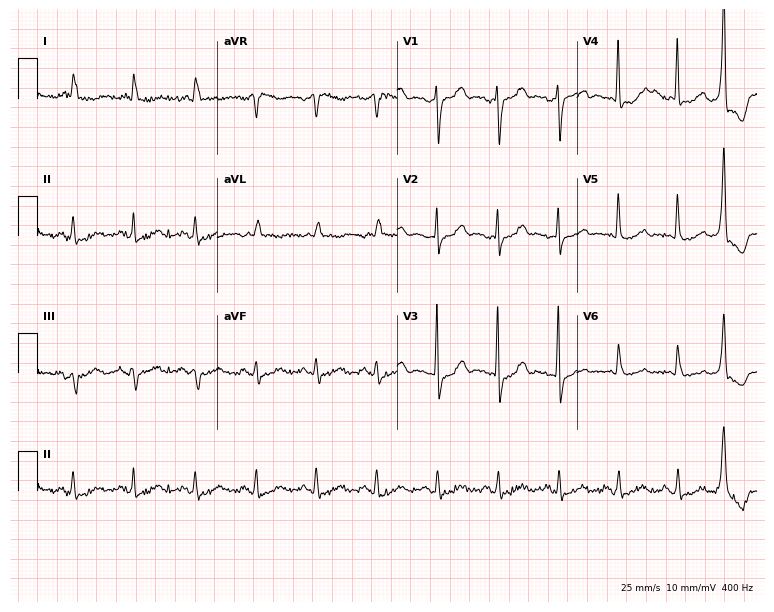
Standard 12-lead ECG recorded from an 84-year-old female patient. None of these six findings is recorded: first-degree AV block, right bundle branch block (RBBB), left bundle branch block (LBBB), sinus bradycardia, atrial fibrillation (AF), sinus tachycardia. Findings outside these six are not listed.